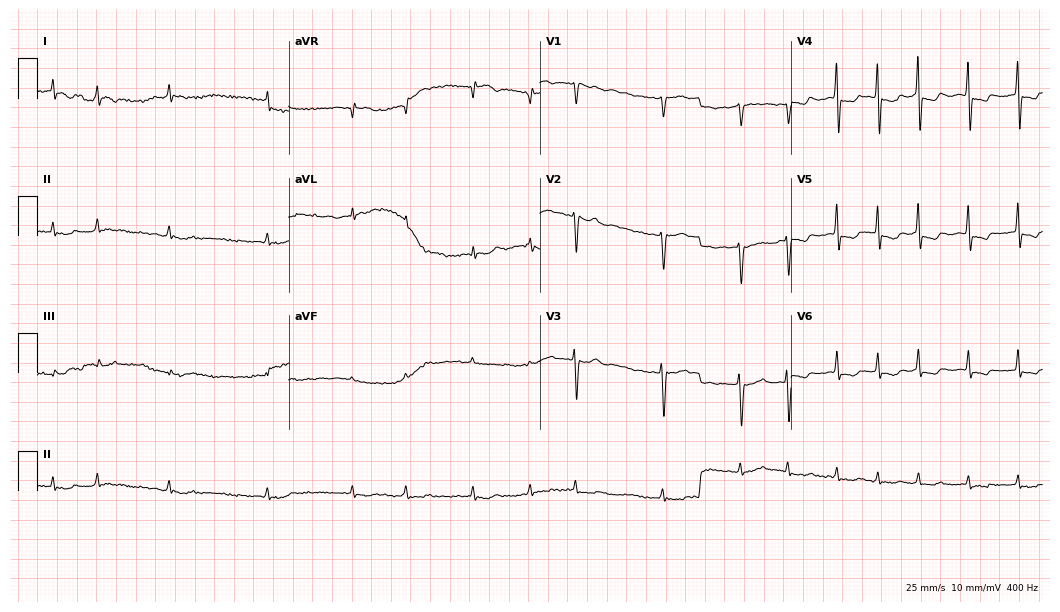
12-lead ECG from an 84-year-old female patient. Findings include atrial fibrillation.